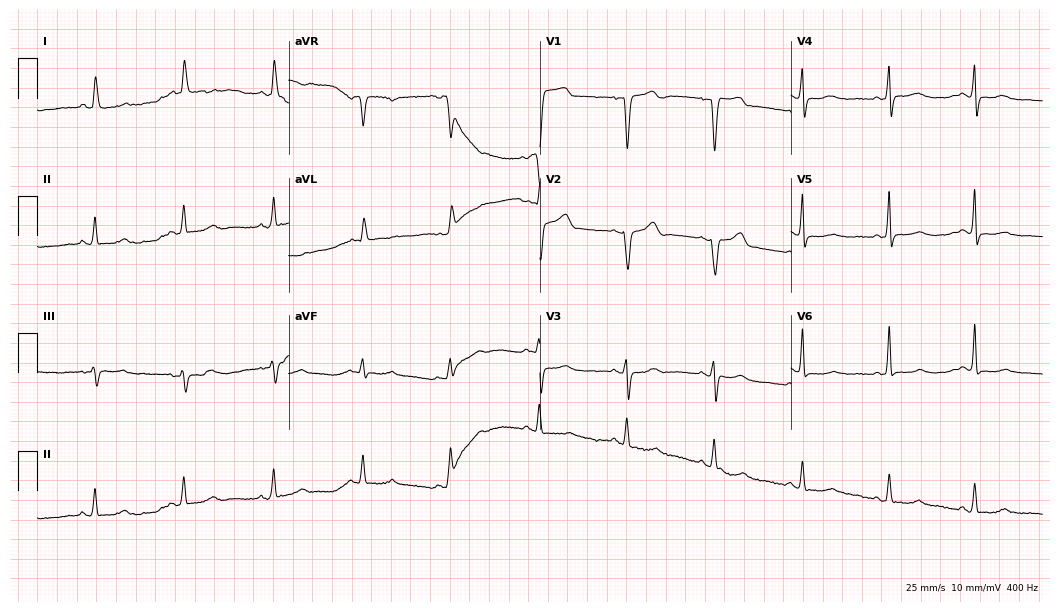
Electrocardiogram (10.2-second recording at 400 Hz), a 68-year-old female patient. Overall reading on record: normal ECG.